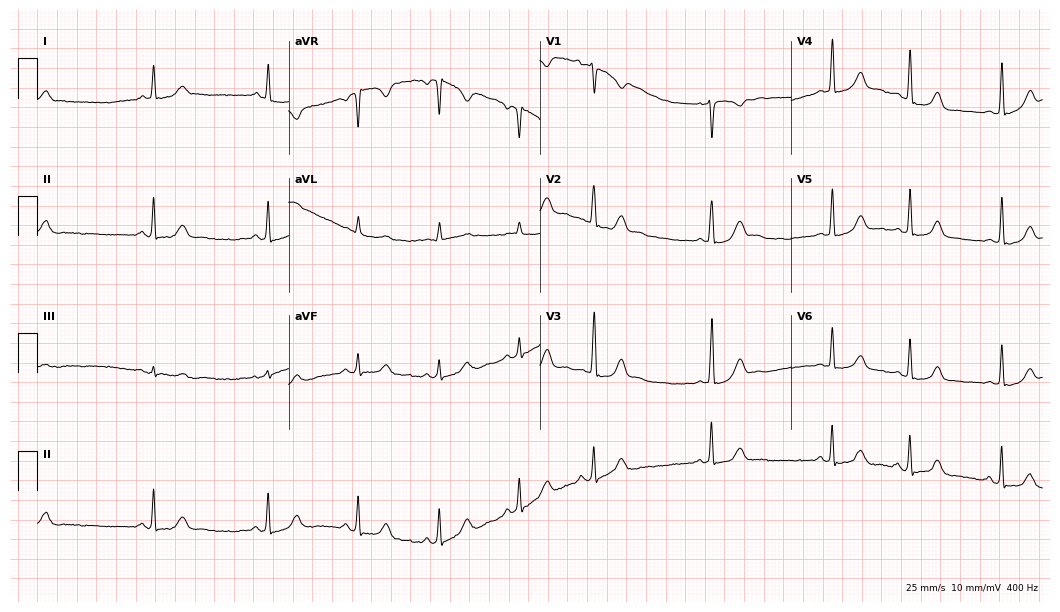
Resting 12-lead electrocardiogram. Patient: a 20-year-old woman. None of these six findings is recorded: first-degree AV block, right bundle branch block (RBBB), left bundle branch block (LBBB), sinus bradycardia, atrial fibrillation (AF), sinus tachycardia. Only these six findings were labelled.